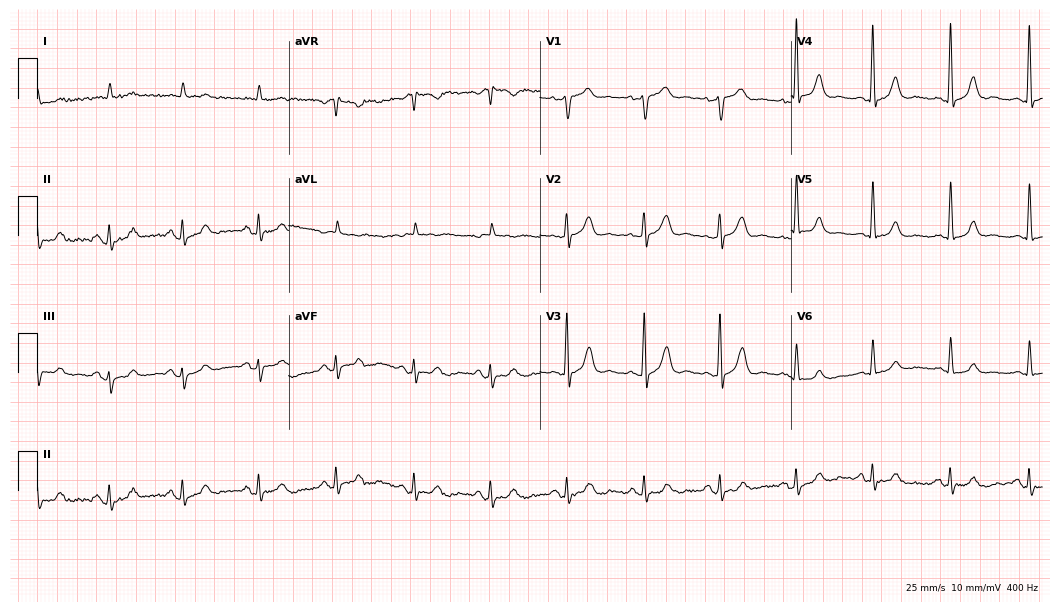
ECG (10.2-second recording at 400 Hz) — a 79-year-old male. Labelled as a normal ECG.